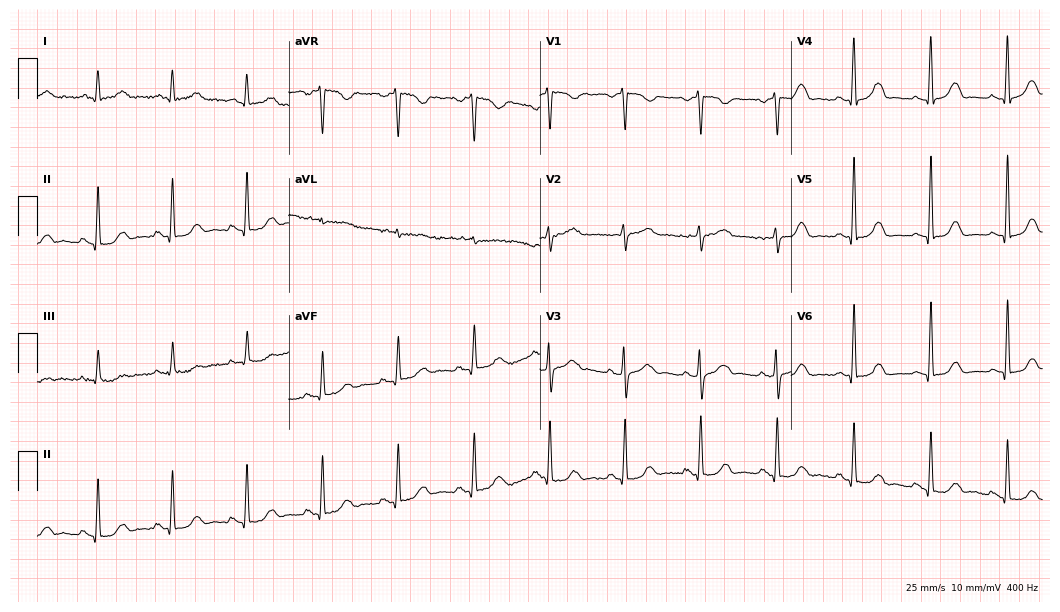
12-lead ECG from a 74-year-old female. Labelled as a normal ECG.